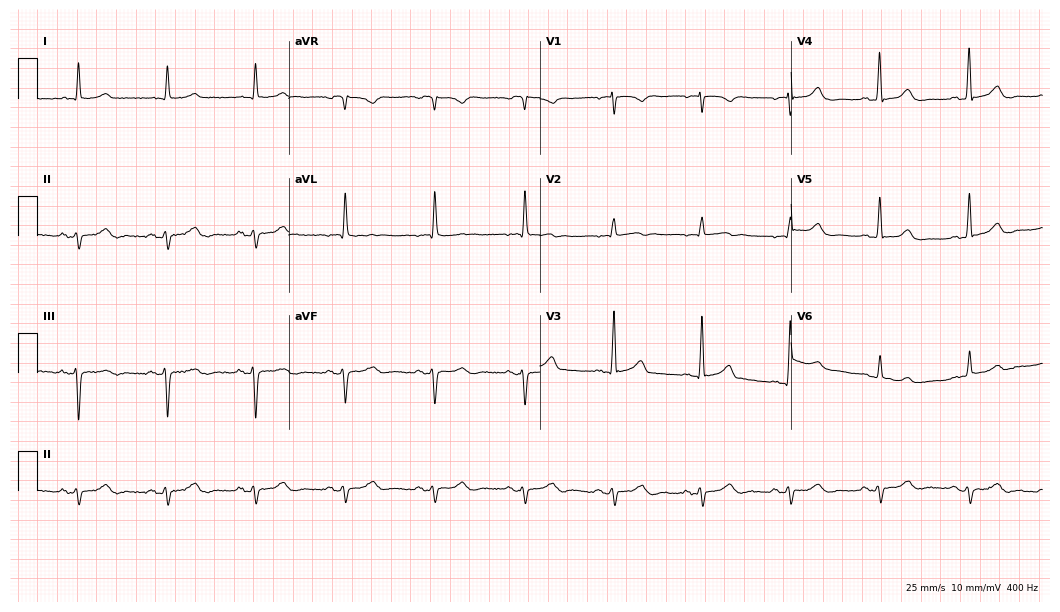
ECG (10.2-second recording at 400 Hz) — an 85-year-old woman. Screened for six findings — first-degree AV block, right bundle branch block, left bundle branch block, sinus bradycardia, atrial fibrillation, sinus tachycardia — none is recorded. Findings outside these six are not listed.